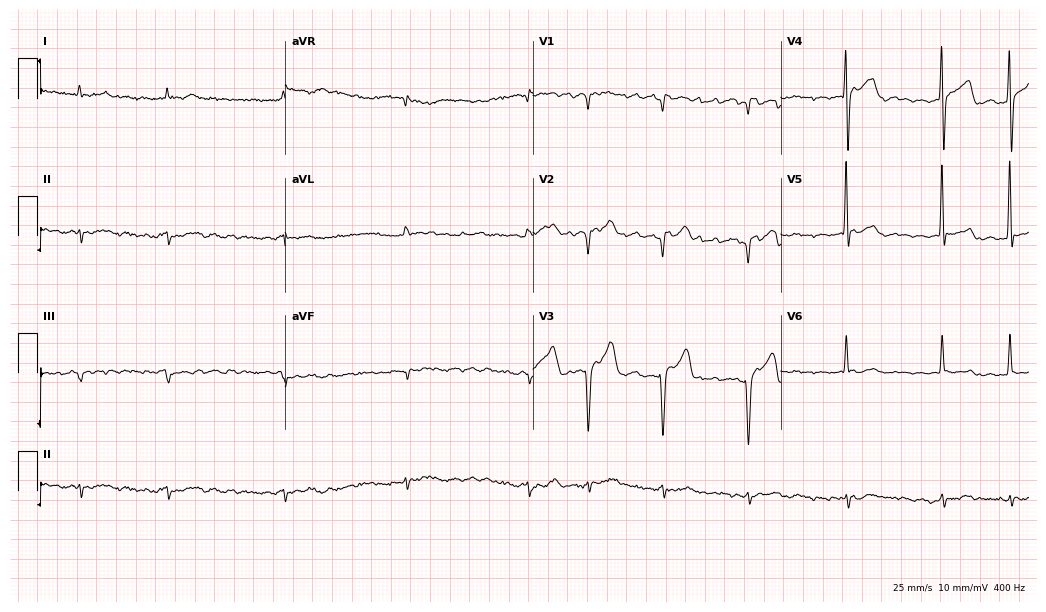
Electrocardiogram (10.1-second recording at 400 Hz), a 70-year-old man. Interpretation includes atrial fibrillation.